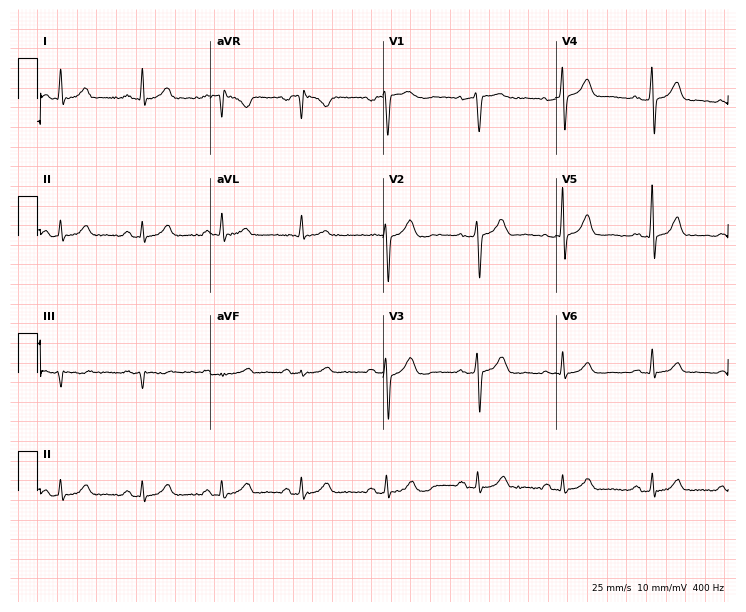
12-lead ECG (7-second recording at 400 Hz) from a woman, 55 years old. Screened for six findings — first-degree AV block, right bundle branch block, left bundle branch block, sinus bradycardia, atrial fibrillation, sinus tachycardia — none is recorded.